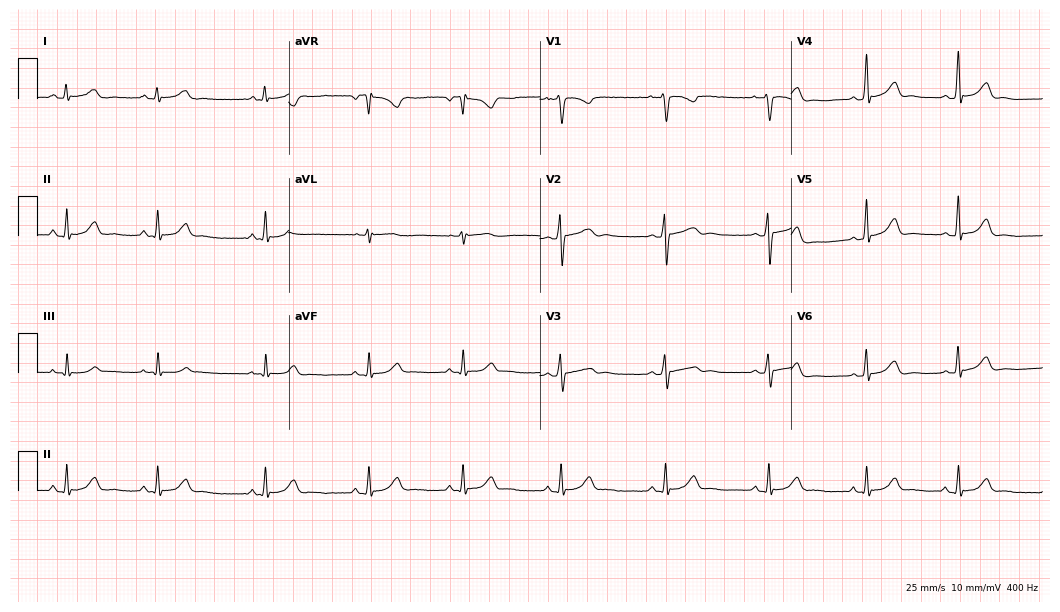
Resting 12-lead electrocardiogram. Patient: a female, 23 years old. Read as a normal ECG.